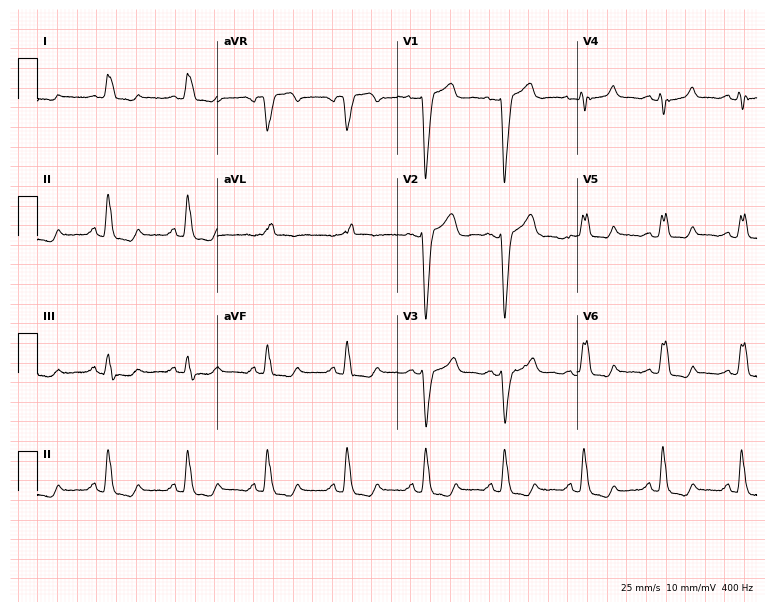
ECG — a 66-year-old female patient. Findings include left bundle branch block (LBBB).